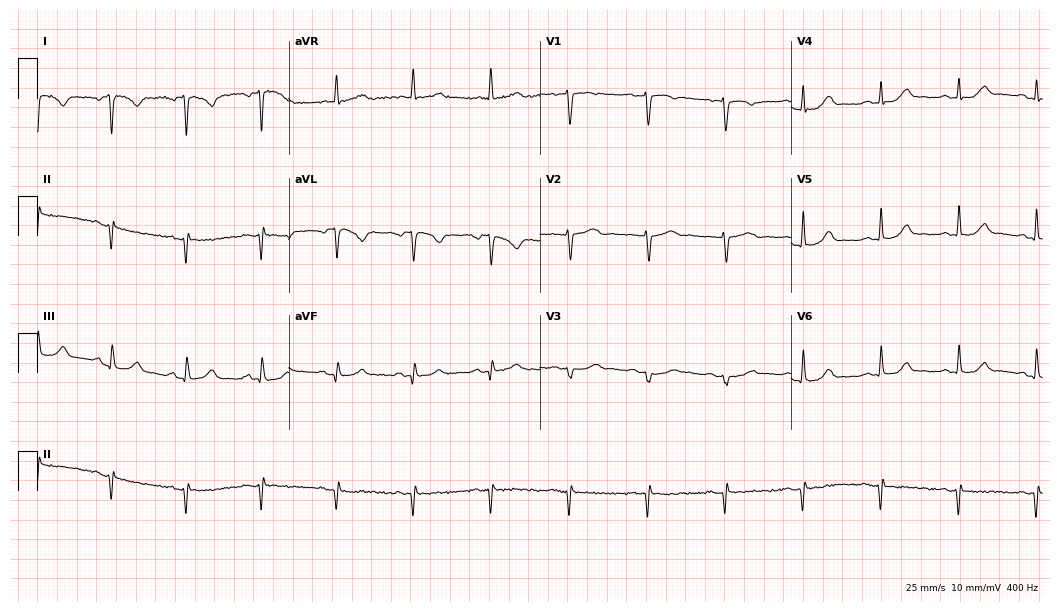
12-lead ECG from a 67-year-old female patient. Screened for six findings — first-degree AV block, right bundle branch block, left bundle branch block, sinus bradycardia, atrial fibrillation, sinus tachycardia — none is recorded.